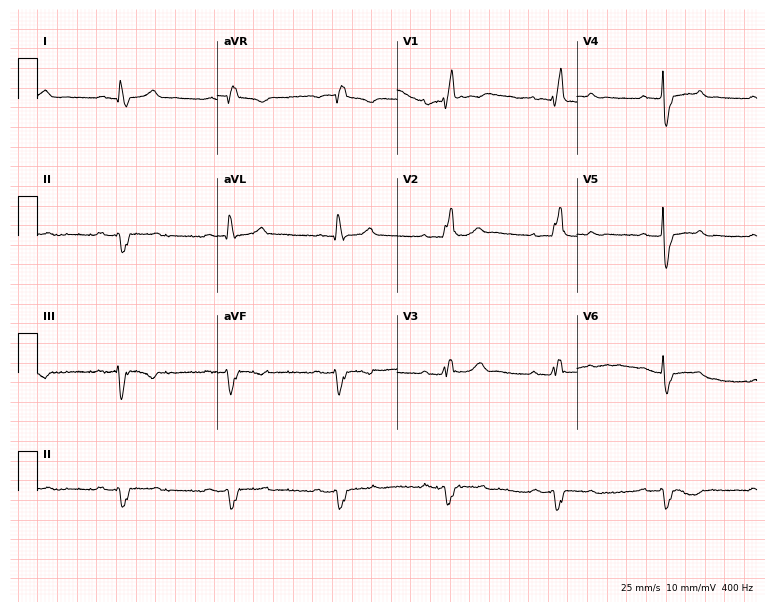
ECG (7.3-second recording at 400 Hz) — a male, 83 years old. Findings include right bundle branch block.